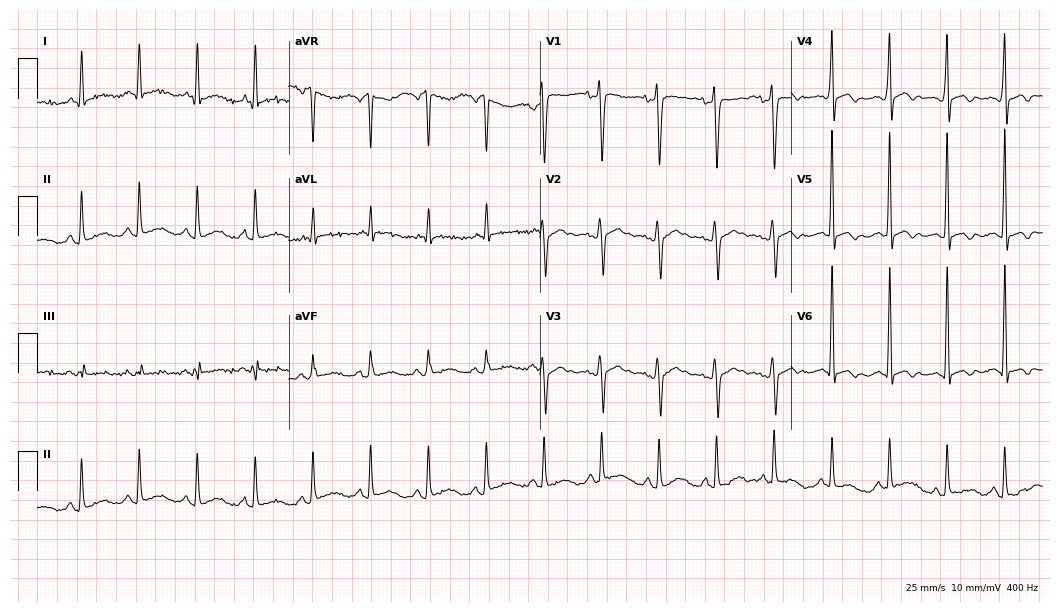
12-lead ECG from a female patient, 44 years old. Findings include sinus tachycardia (a sinus rate of 100 beats per minute or more).